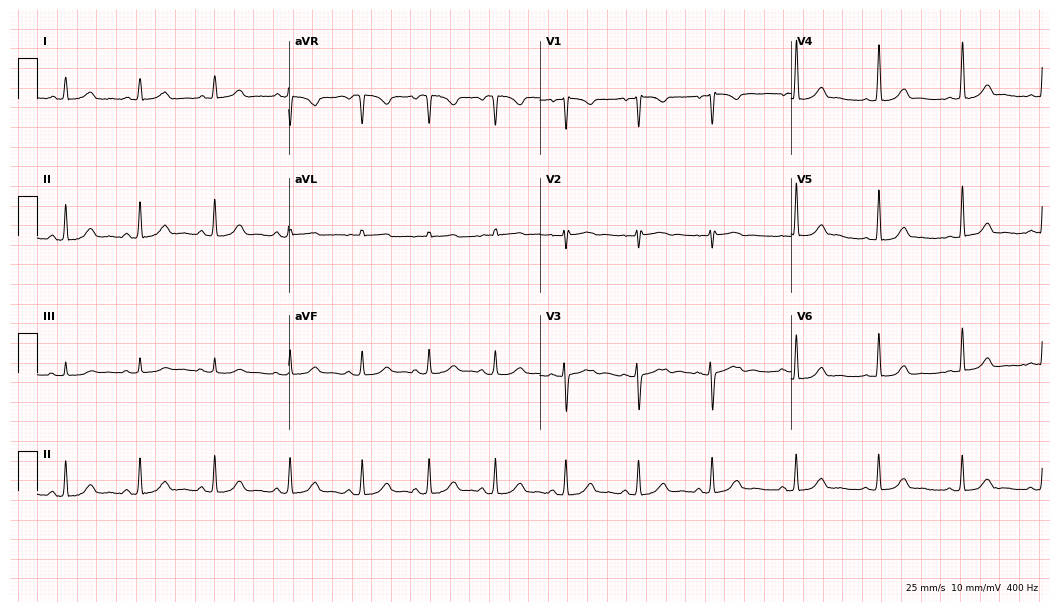
12-lead ECG from a female, 27 years old (10.2-second recording at 400 Hz). Recorded interpretation: within normal limits.